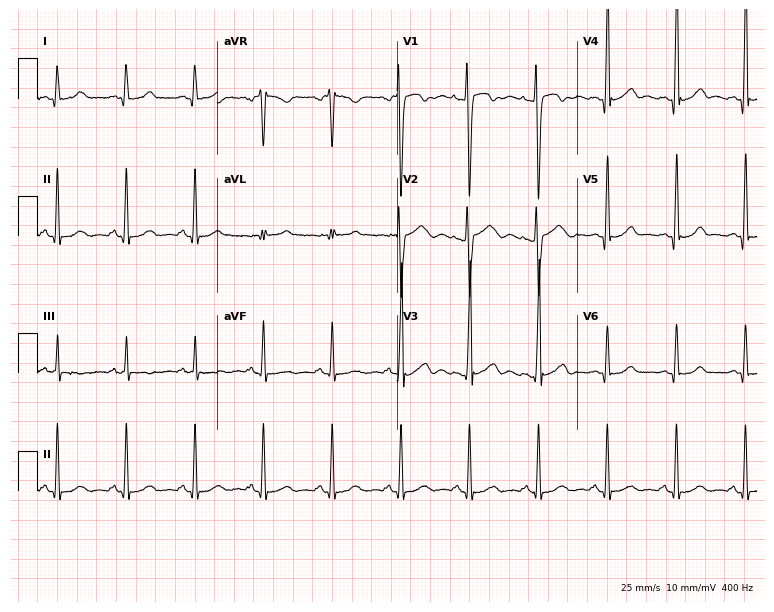
ECG — a 25-year-old male. Labelled as a normal ECG.